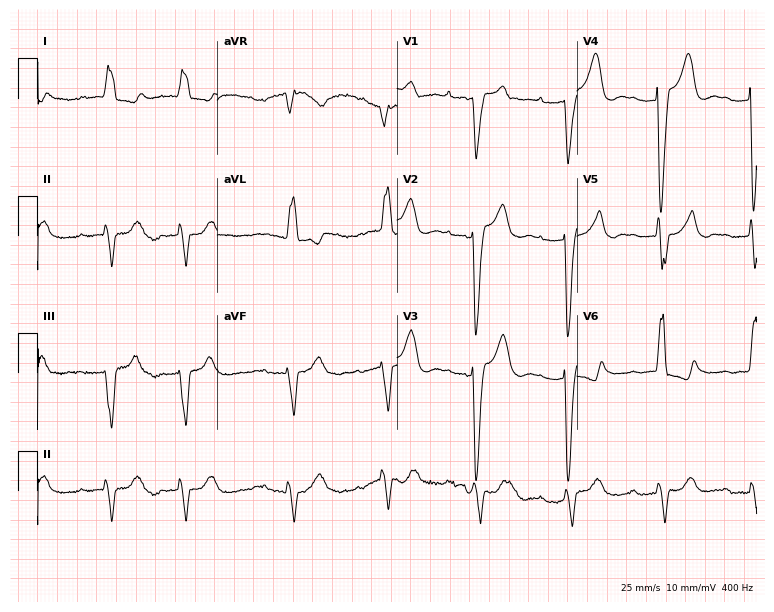
Resting 12-lead electrocardiogram. Patient: a 73-year-old female. The tracing shows first-degree AV block, left bundle branch block (LBBB).